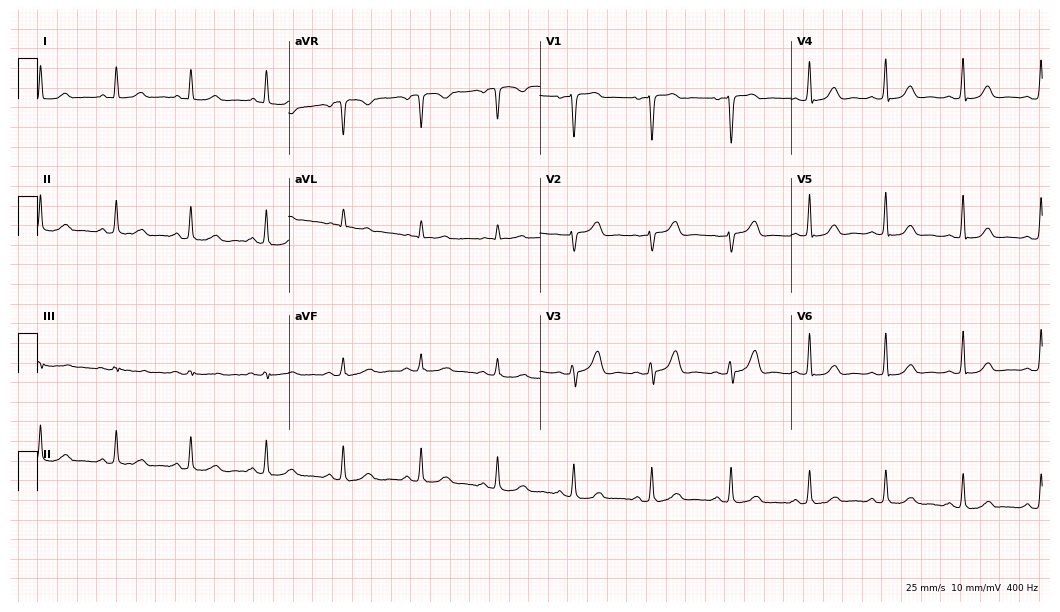
12-lead ECG from a female, 46 years old (10.2-second recording at 400 Hz). No first-degree AV block, right bundle branch block (RBBB), left bundle branch block (LBBB), sinus bradycardia, atrial fibrillation (AF) or sinus tachycardia recorded for this tracing. Other findings, if any, are not listed.